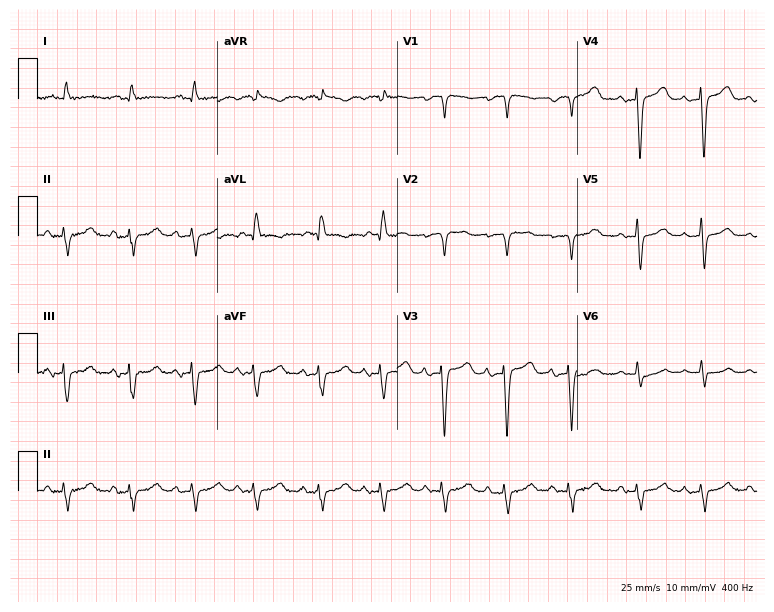
12-lead ECG from an 82-year-old female patient. No first-degree AV block, right bundle branch block, left bundle branch block, sinus bradycardia, atrial fibrillation or sinus tachycardia recorded for this tracing.